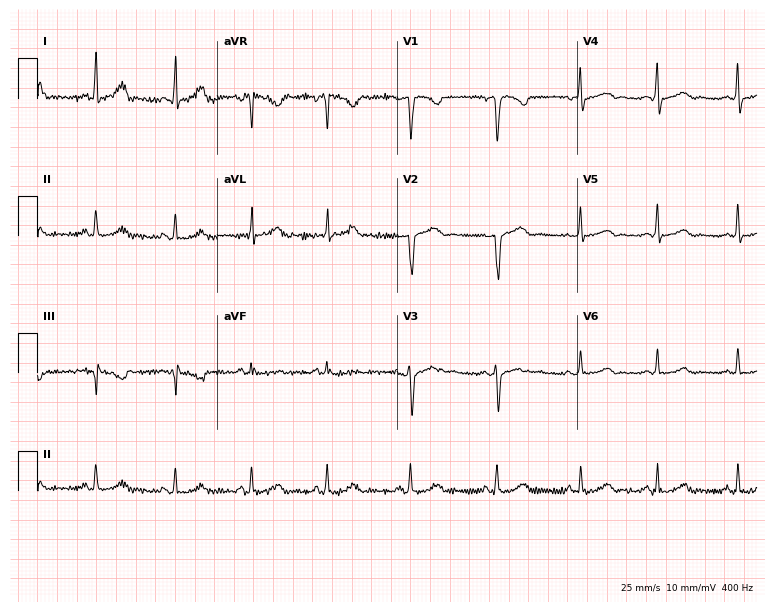
Electrocardiogram, a 39-year-old female patient. Overall reading on record: normal ECG.